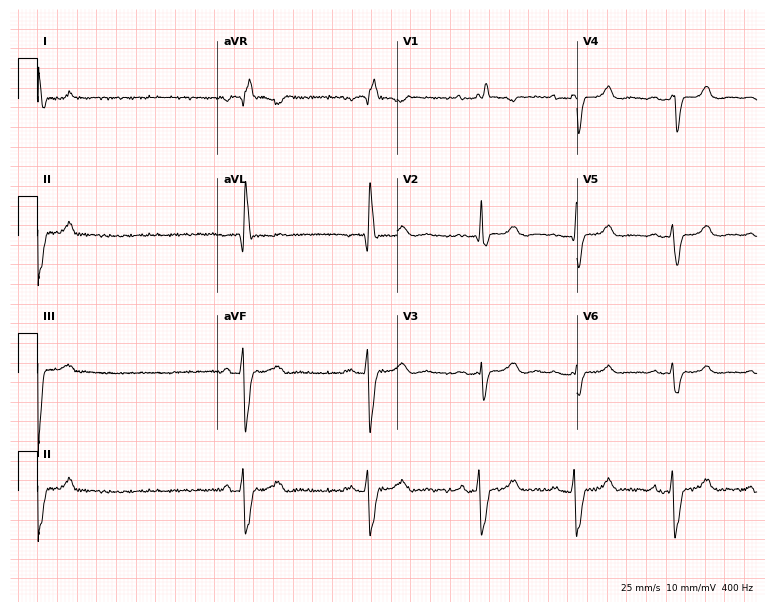
Resting 12-lead electrocardiogram. Patient: a woman, 48 years old. The tracing shows right bundle branch block.